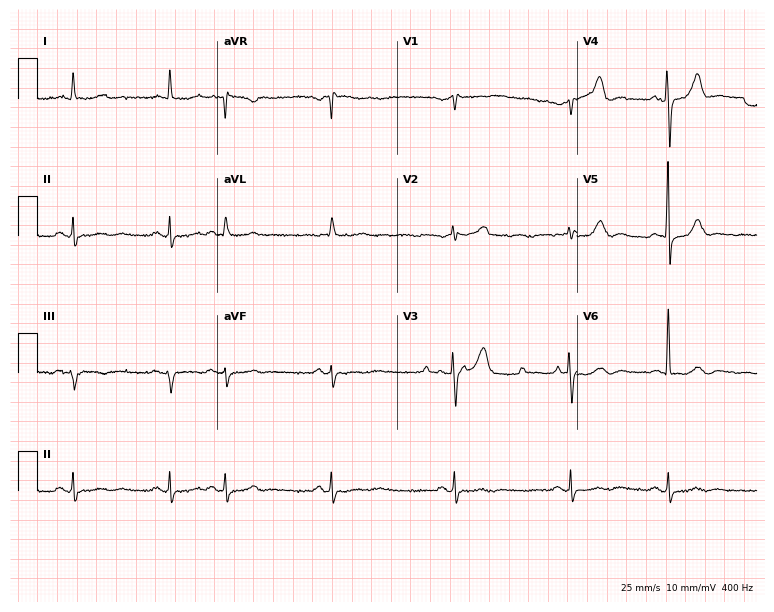
12-lead ECG from a 76-year-old male patient. No first-degree AV block, right bundle branch block (RBBB), left bundle branch block (LBBB), sinus bradycardia, atrial fibrillation (AF) or sinus tachycardia recorded for this tracing.